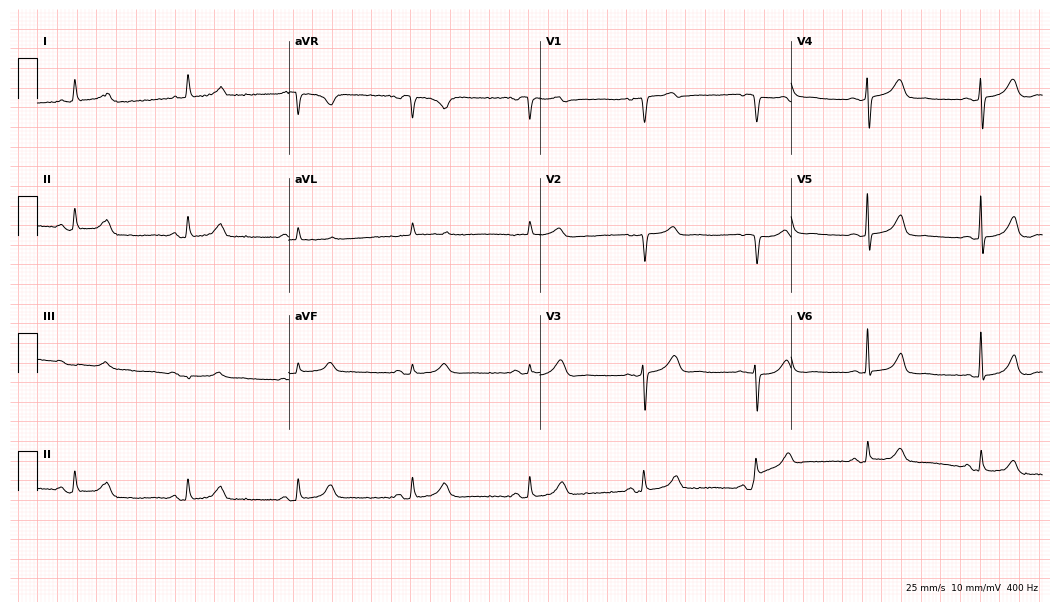
Standard 12-lead ECG recorded from a 79-year-old female (10.2-second recording at 400 Hz). None of these six findings is recorded: first-degree AV block, right bundle branch block, left bundle branch block, sinus bradycardia, atrial fibrillation, sinus tachycardia. Other findings, if any, are not listed.